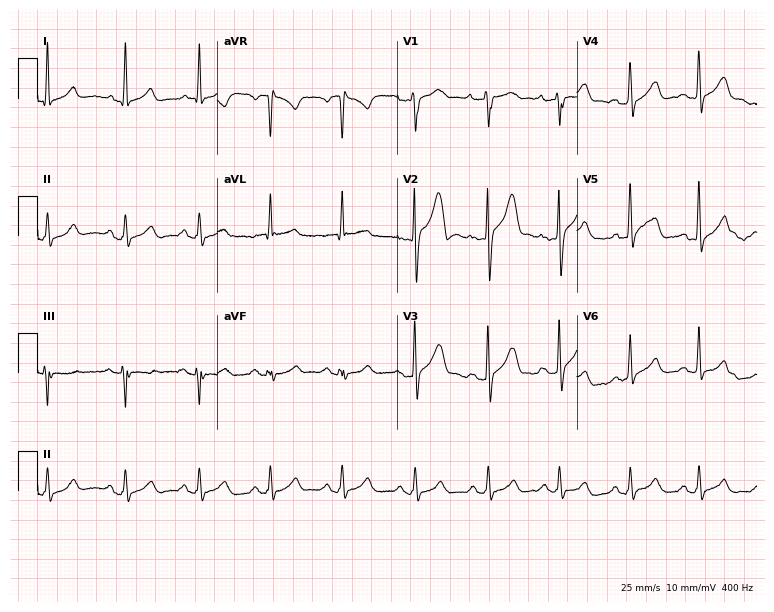
ECG — a 30-year-old man. Labelled as a normal ECG.